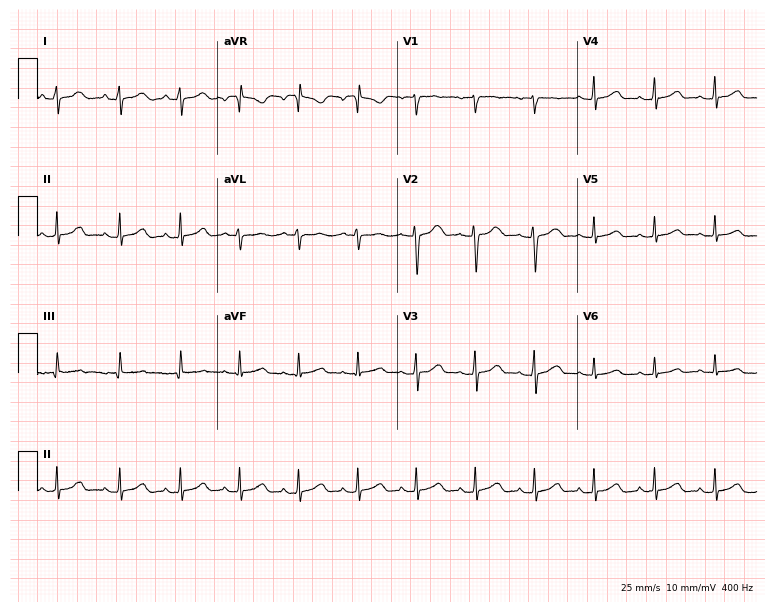
Resting 12-lead electrocardiogram. Patient: a 22-year-old female. Read as a normal ECG.